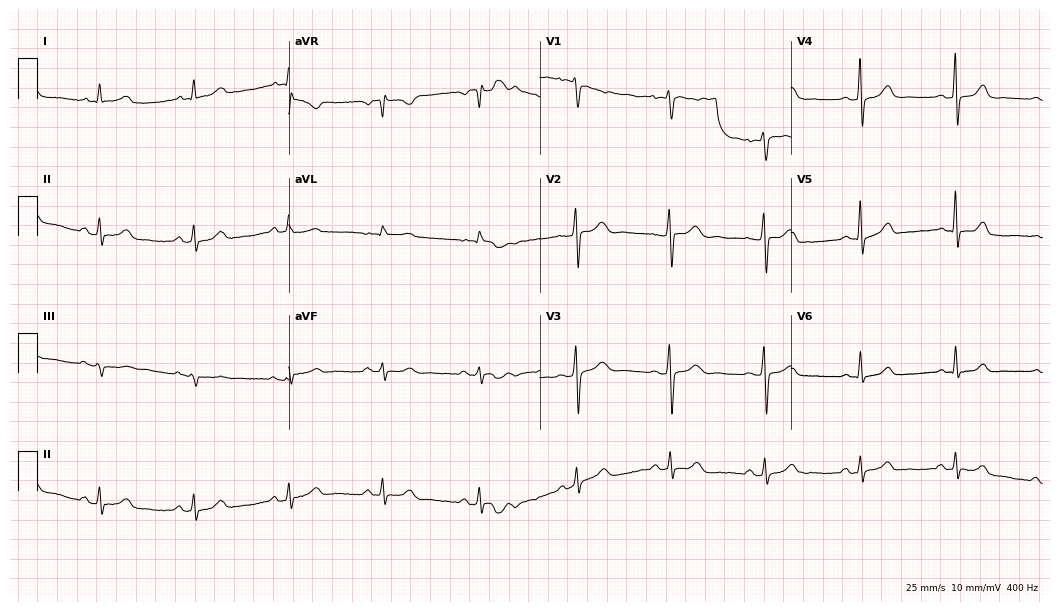
Standard 12-lead ECG recorded from a woman, 40 years old (10.2-second recording at 400 Hz). None of these six findings is recorded: first-degree AV block, right bundle branch block, left bundle branch block, sinus bradycardia, atrial fibrillation, sinus tachycardia. Findings outside these six are not listed.